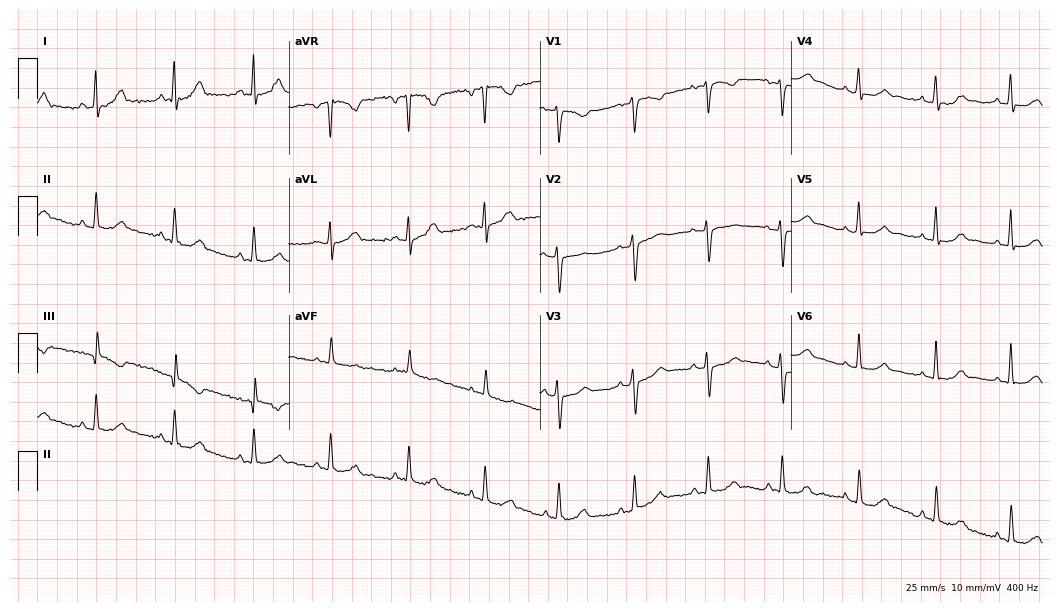
12-lead ECG from a woman, 32 years old (10.2-second recording at 400 Hz). Recorded interpretation: within normal limits.